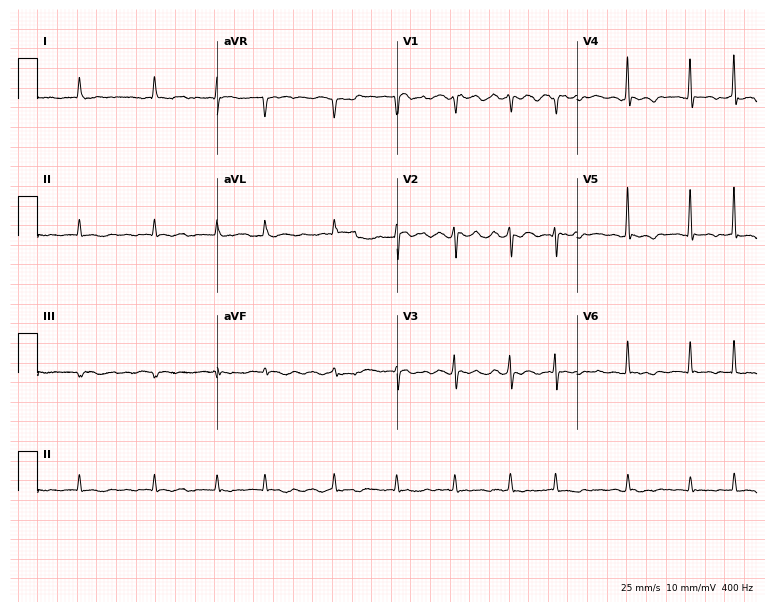
12-lead ECG from a 77-year-old female patient. Shows atrial fibrillation.